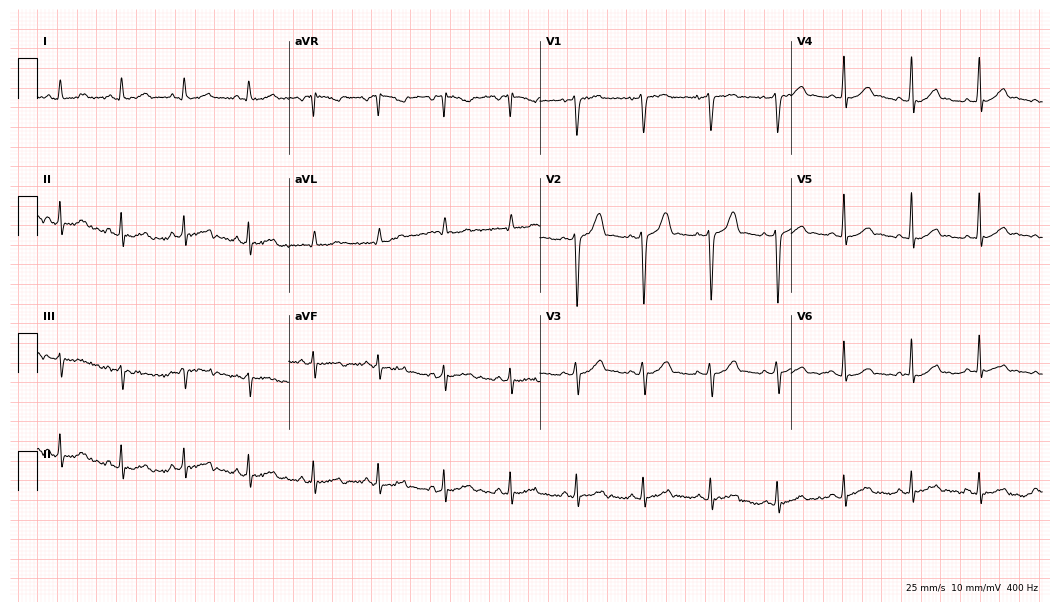
ECG (10.2-second recording at 400 Hz) — a female, 34 years old. Screened for six findings — first-degree AV block, right bundle branch block (RBBB), left bundle branch block (LBBB), sinus bradycardia, atrial fibrillation (AF), sinus tachycardia — none is recorded.